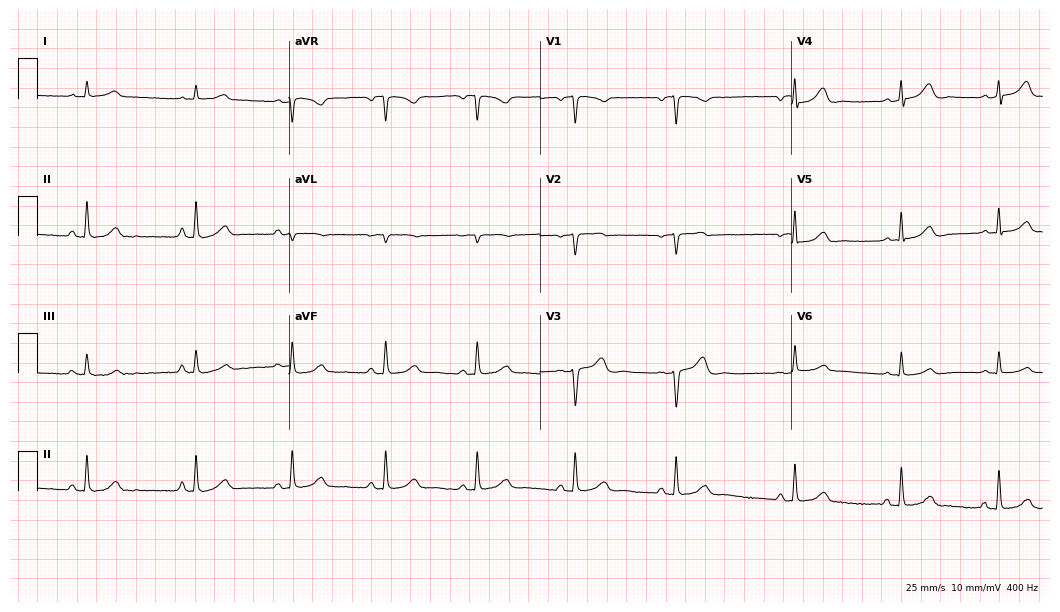
12-lead ECG from a female patient, 44 years old. Screened for six findings — first-degree AV block, right bundle branch block (RBBB), left bundle branch block (LBBB), sinus bradycardia, atrial fibrillation (AF), sinus tachycardia — none is recorded. Findings outside these six are not listed.